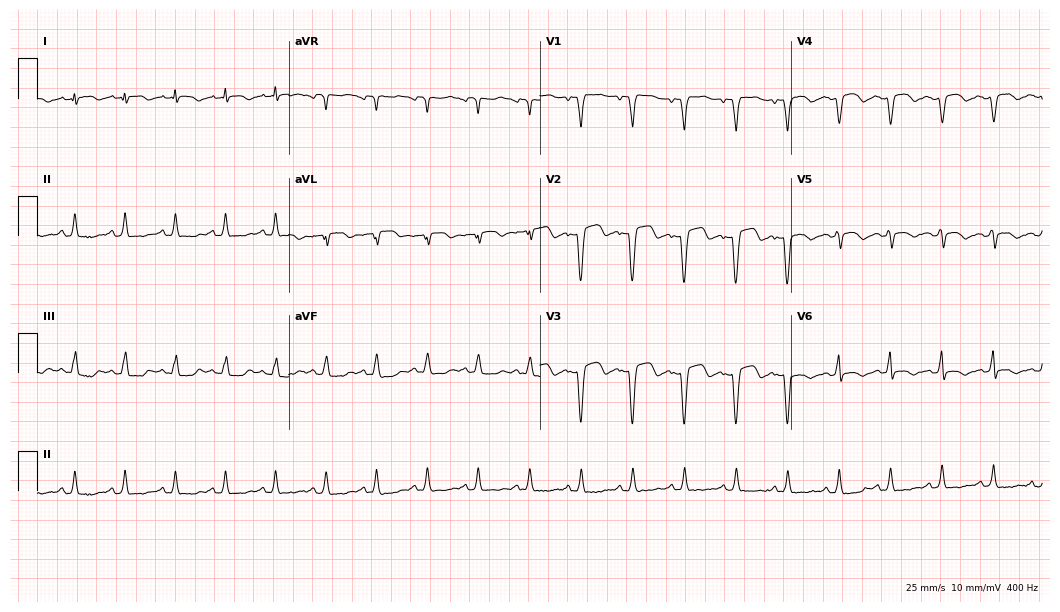
ECG — a 42-year-old female patient. Findings include sinus tachycardia (a sinus rate of 100 beats per minute or more).